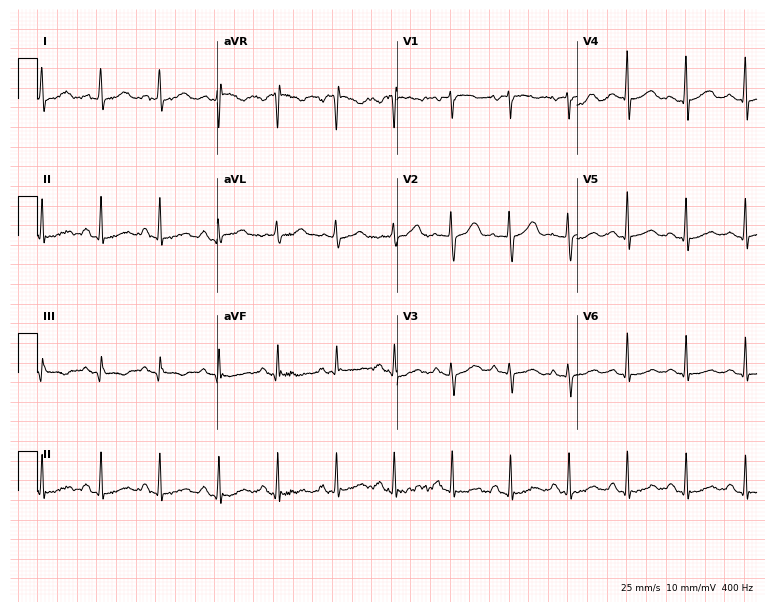
Standard 12-lead ECG recorded from a 52-year-old woman. Read as a normal ECG.